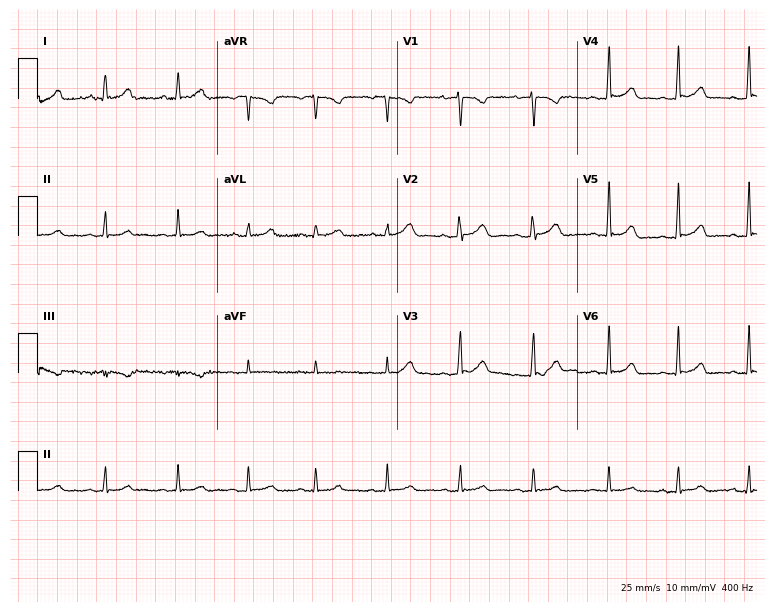
ECG — a female patient, 18 years old. Labelled as a normal ECG.